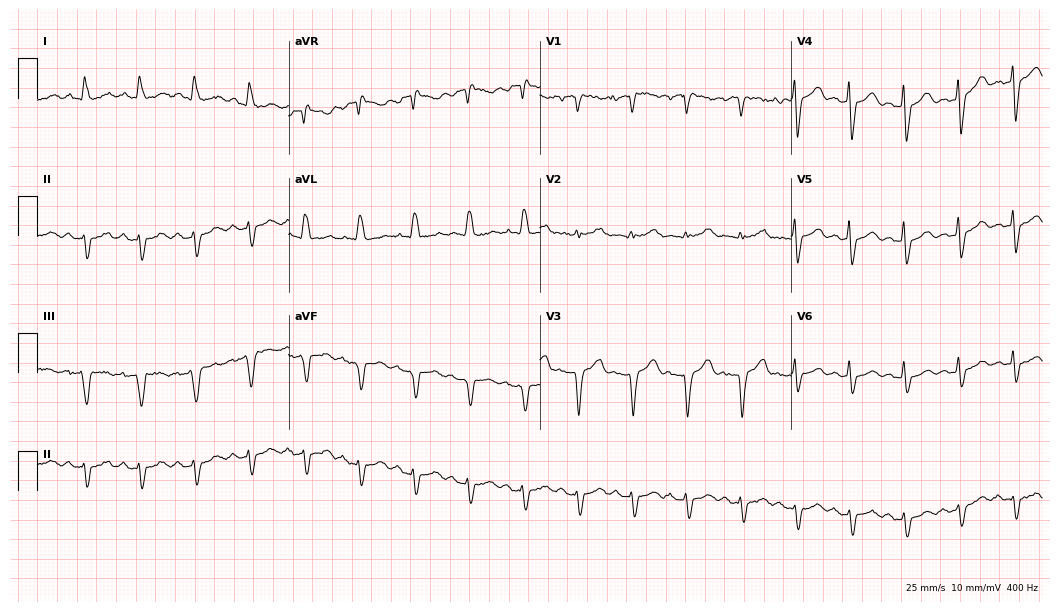
Resting 12-lead electrocardiogram (10.2-second recording at 400 Hz). Patient: a 70-year-old female. The tracing shows sinus tachycardia (a sinus rate of 100 beats per minute or more).